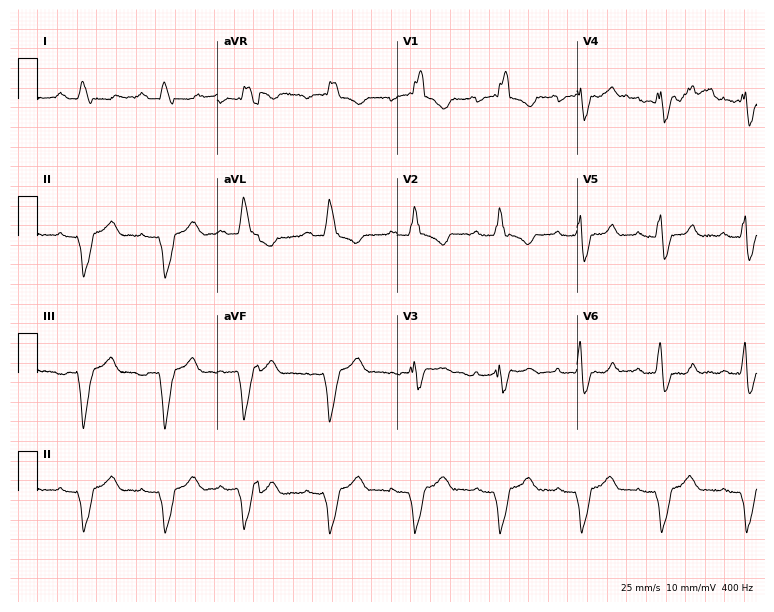
Electrocardiogram (7.3-second recording at 400 Hz), a man, 44 years old. Of the six screened findings (first-degree AV block, right bundle branch block (RBBB), left bundle branch block (LBBB), sinus bradycardia, atrial fibrillation (AF), sinus tachycardia), none is recorded.